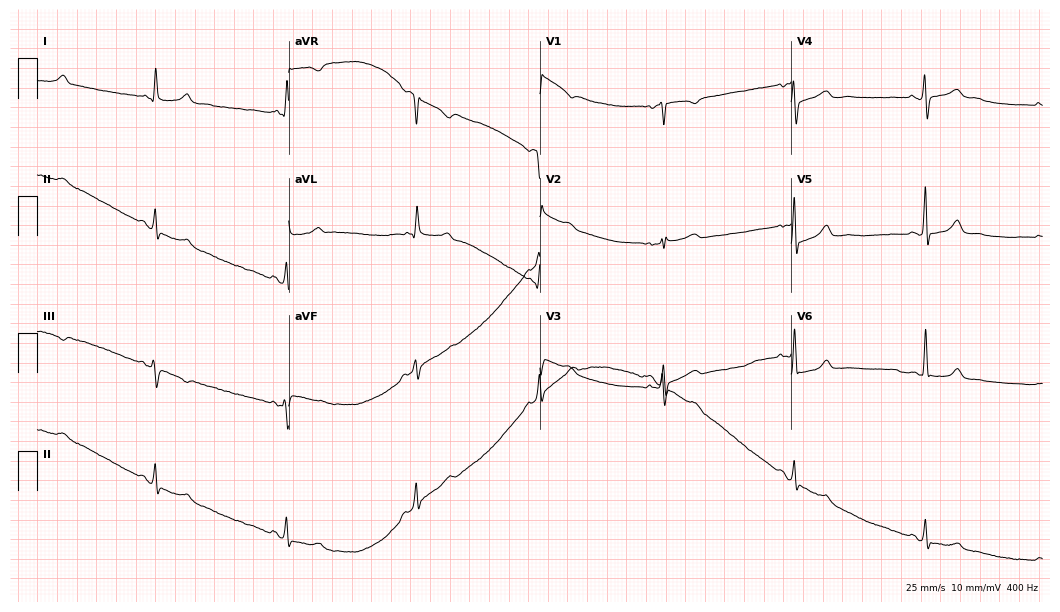
Standard 12-lead ECG recorded from a female patient, 51 years old (10.2-second recording at 400 Hz). The tracing shows sinus bradycardia (a sinus rate of 50 beats per minute or less).